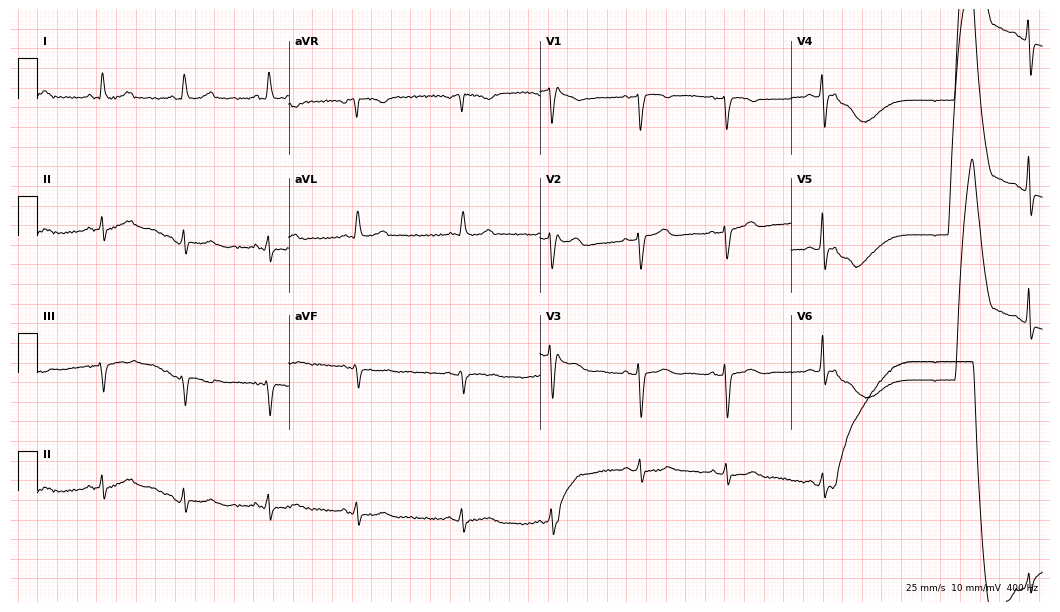
Resting 12-lead electrocardiogram. Patient: a 77-year-old female. None of these six findings is recorded: first-degree AV block, right bundle branch block, left bundle branch block, sinus bradycardia, atrial fibrillation, sinus tachycardia.